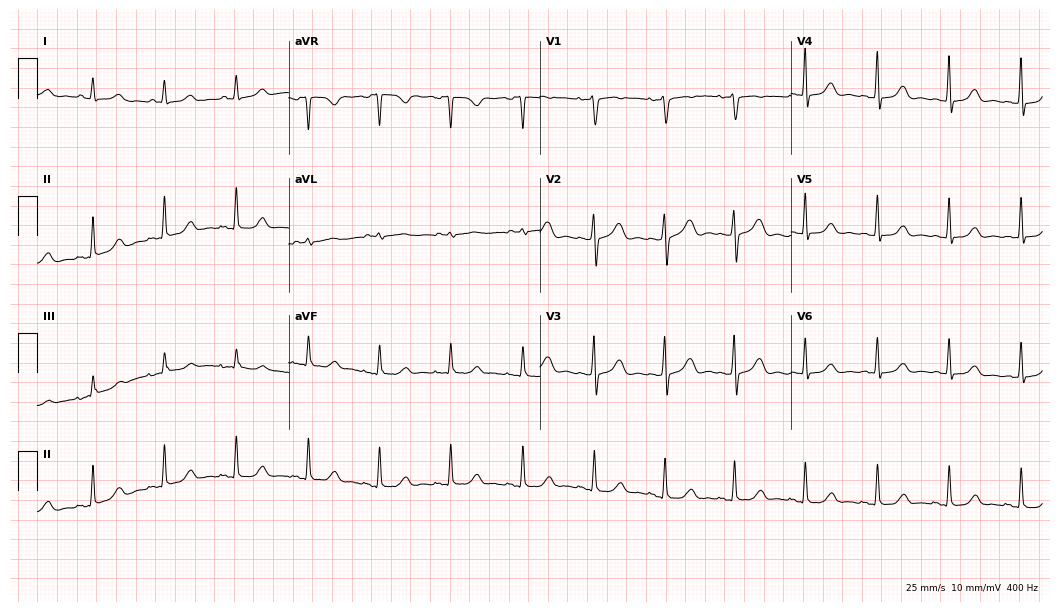
12-lead ECG from a 52-year-old female. Screened for six findings — first-degree AV block, right bundle branch block (RBBB), left bundle branch block (LBBB), sinus bradycardia, atrial fibrillation (AF), sinus tachycardia — none is recorded.